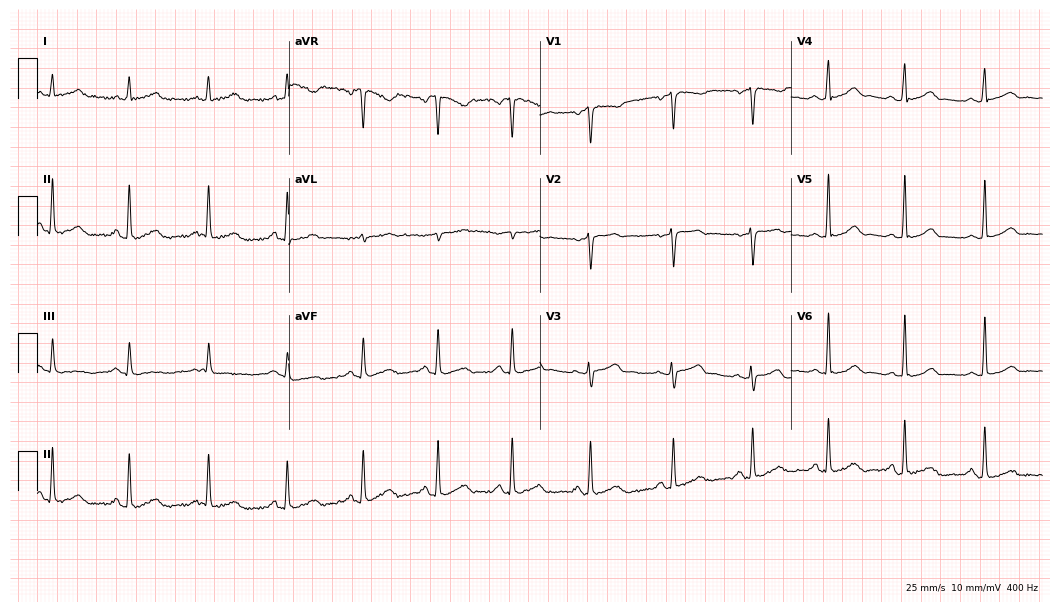
ECG — a 46-year-old female patient. Labelled as a normal ECG.